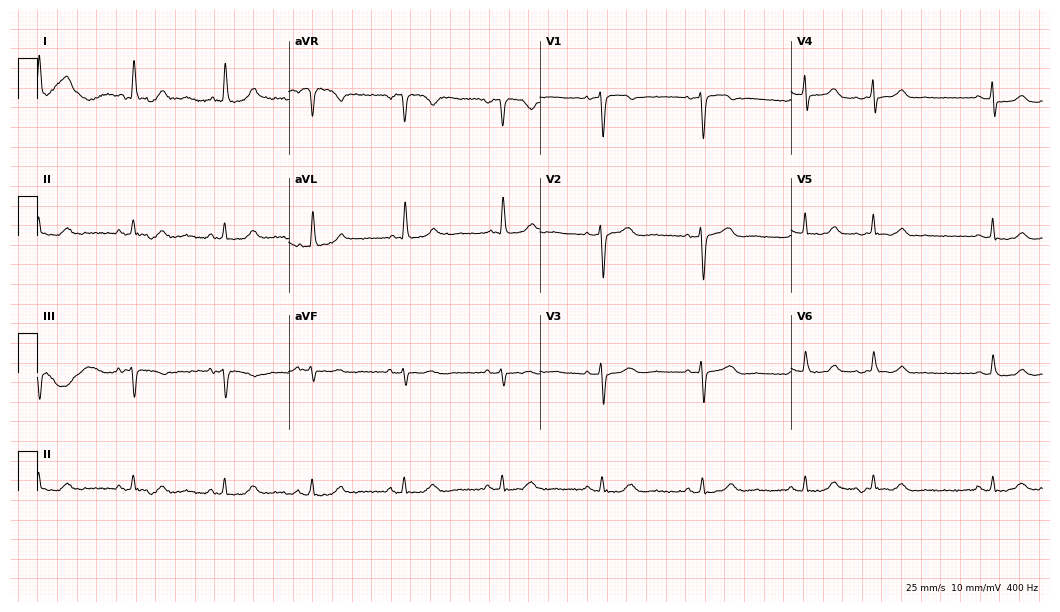
Resting 12-lead electrocardiogram (10.2-second recording at 400 Hz). Patient: a female, 71 years old. None of these six findings is recorded: first-degree AV block, right bundle branch block (RBBB), left bundle branch block (LBBB), sinus bradycardia, atrial fibrillation (AF), sinus tachycardia. Findings outside these six are not listed.